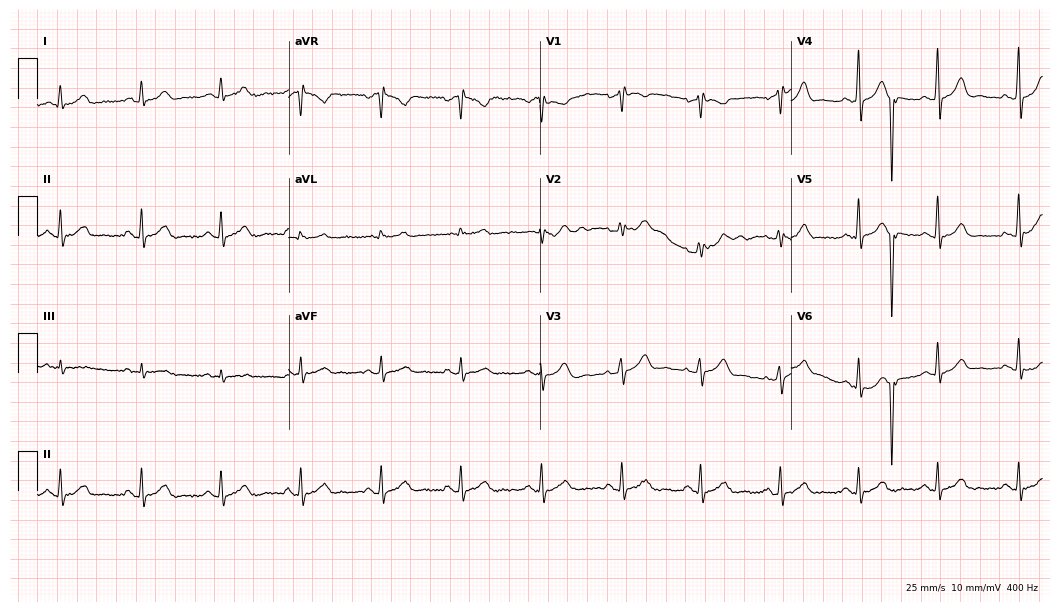
ECG (10.2-second recording at 400 Hz) — a male, 48 years old. Labelled as a normal ECG.